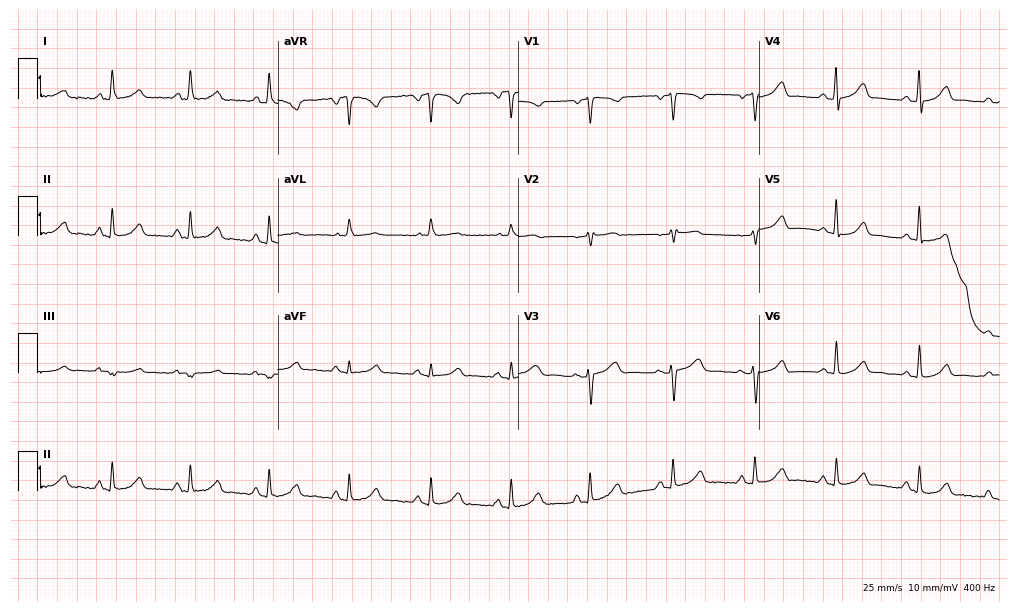
Standard 12-lead ECG recorded from a female, 50 years old (9.8-second recording at 400 Hz). None of these six findings is recorded: first-degree AV block, right bundle branch block (RBBB), left bundle branch block (LBBB), sinus bradycardia, atrial fibrillation (AF), sinus tachycardia.